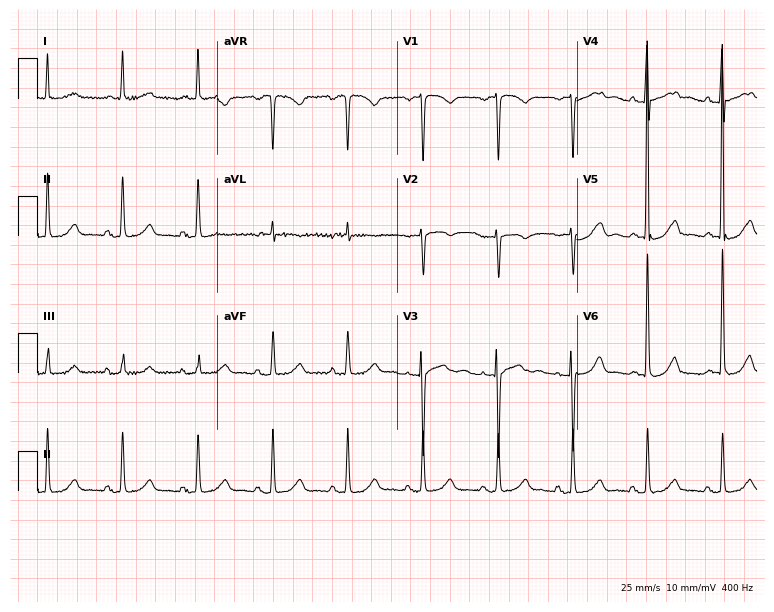
ECG (7.3-second recording at 400 Hz) — a 79-year-old woman. Screened for six findings — first-degree AV block, right bundle branch block (RBBB), left bundle branch block (LBBB), sinus bradycardia, atrial fibrillation (AF), sinus tachycardia — none is recorded.